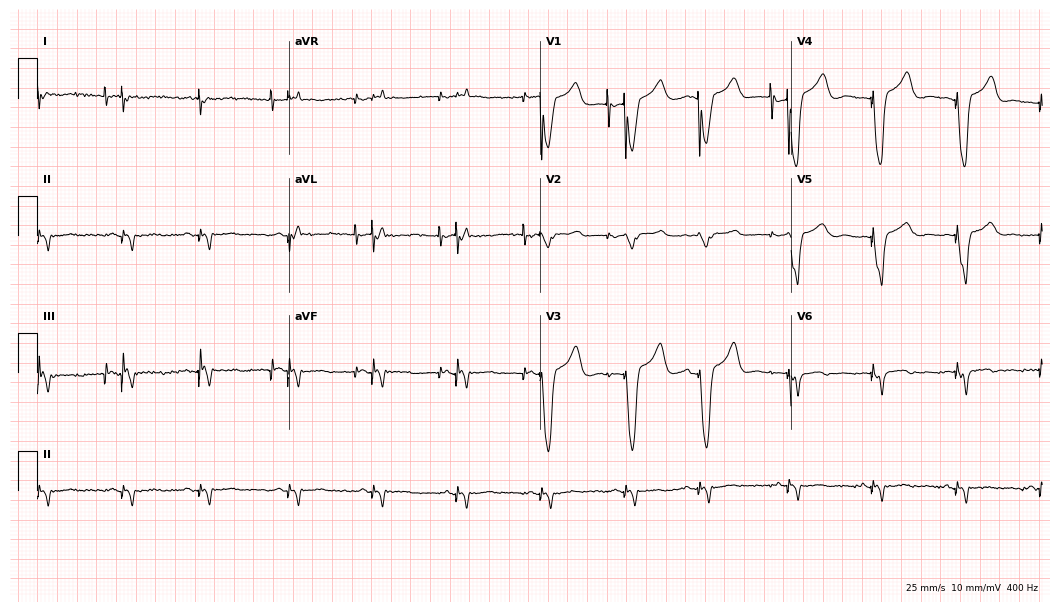
Standard 12-lead ECG recorded from an 85-year-old male patient (10.2-second recording at 400 Hz). None of these six findings is recorded: first-degree AV block, right bundle branch block (RBBB), left bundle branch block (LBBB), sinus bradycardia, atrial fibrillation (AF), sinus tachycardia. Findings outside these six are not listed.